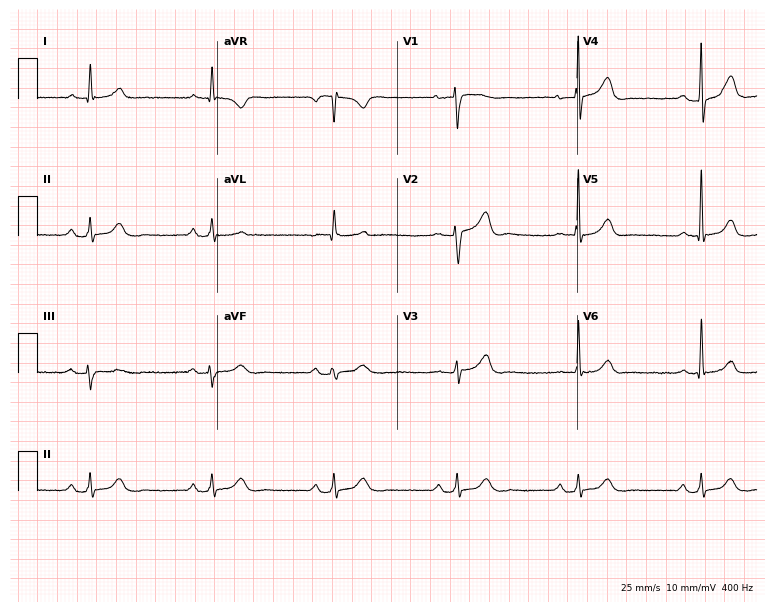
Resting 12-lead electrocardiogram. Patient: a 62-year-old female. None of these six findings is recorded: first-degree AV block, right bundle branch block, left bundle branch block, sinus bradycardia, atrial fibrillation, sinus tachycardia. Other findings, if any, are not listed.